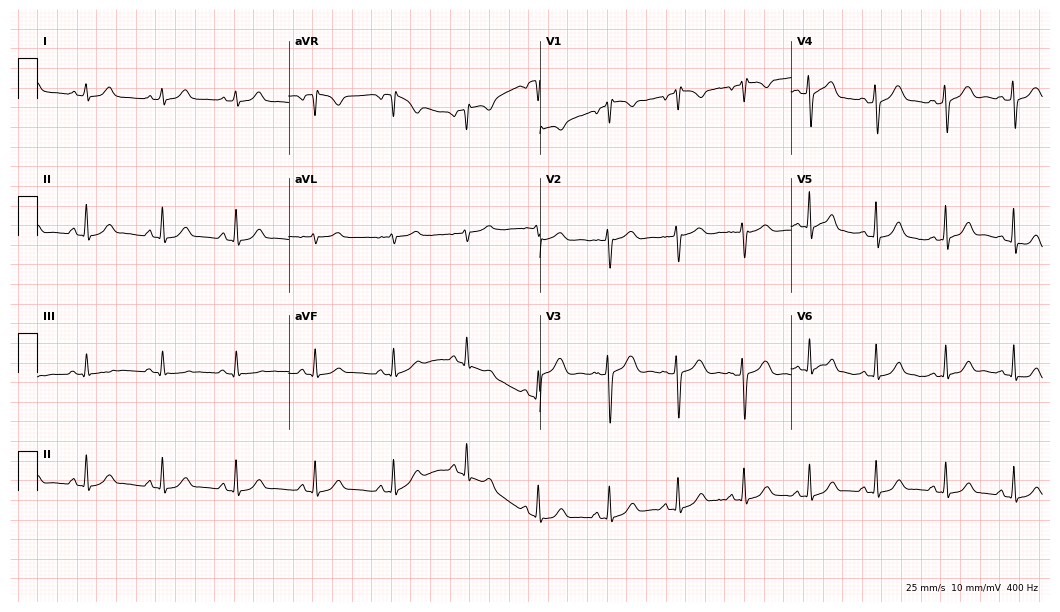
Resting 12-lead electrocardiogram (10.2-second recording at 400 Hz). Patient: a woman, 27 years old. Read as a normal ECG.